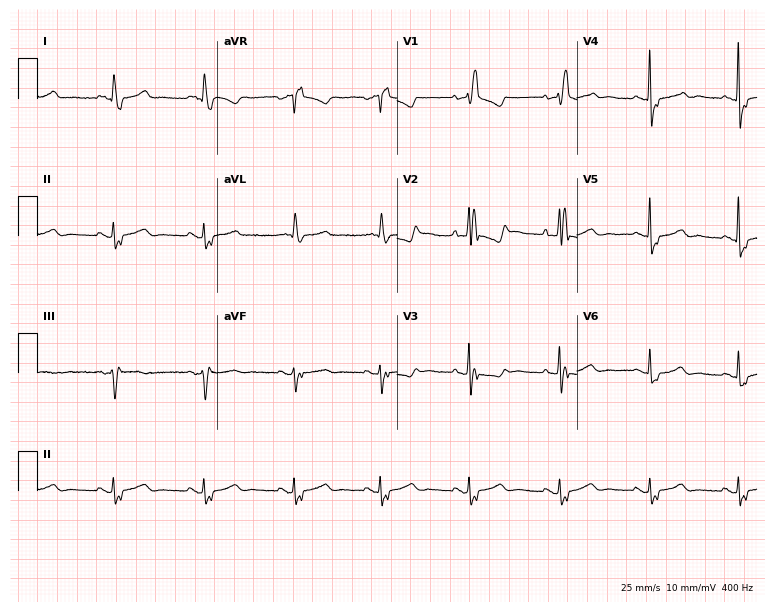
ECG (7.3-second recording at 400 Hz) — an 82-year-old female patient. Findings include right bundle branch block (RBBB).